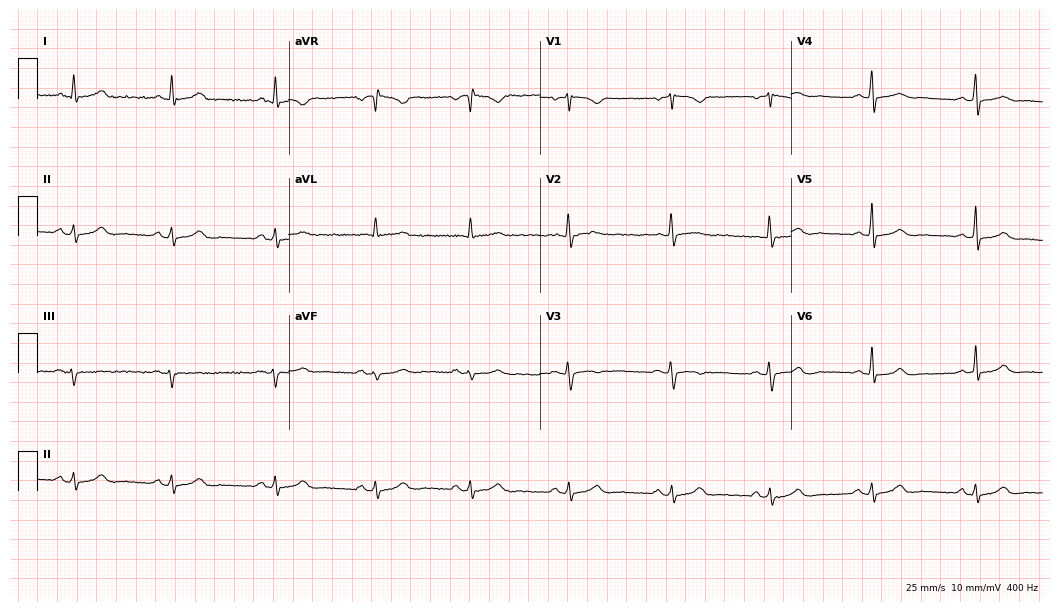
12-lead ECG from a 44-year-old female patient (10.2-second recording at 400 Hz). Recorded interpretation: within normal limits.